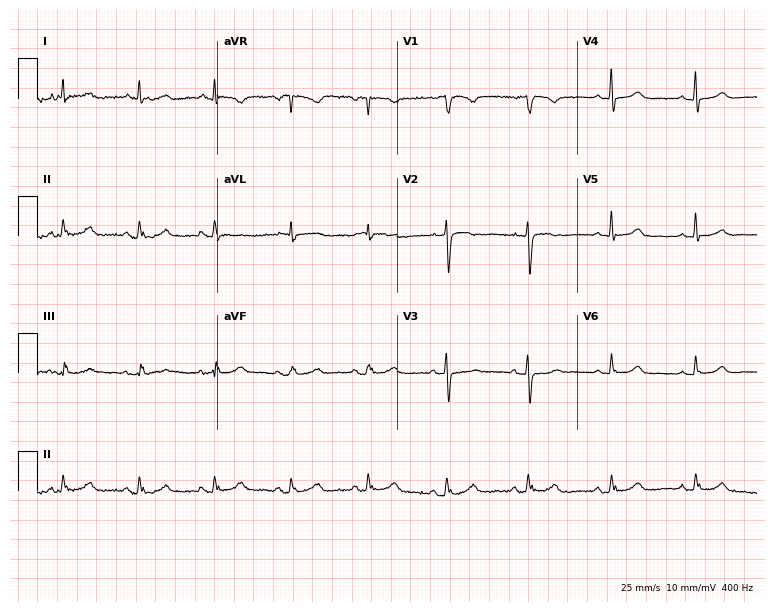
12-lead ECG from a 56-year-old female. Recorded interpretation: within normal limits.